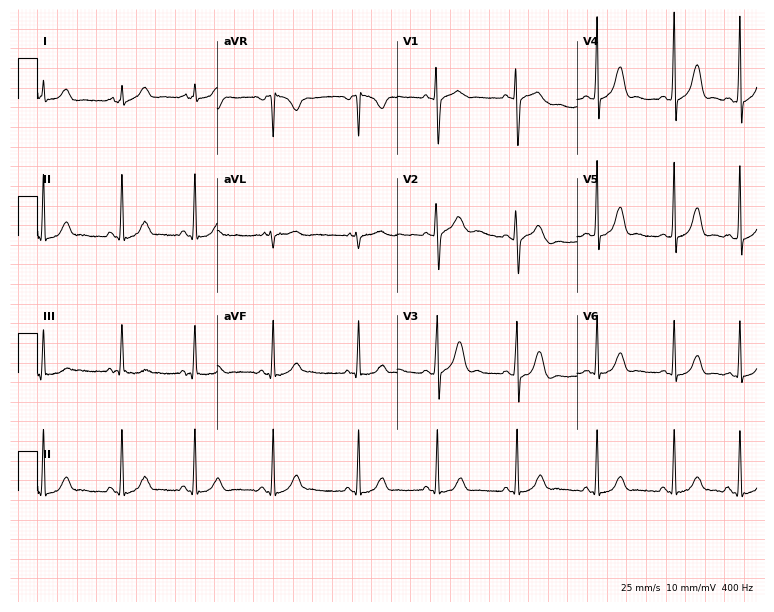
Standard 12-lead ECG recorded from a 17-year-old woman (7.3-second recording at 400 Hz). Read as a normal ECG.